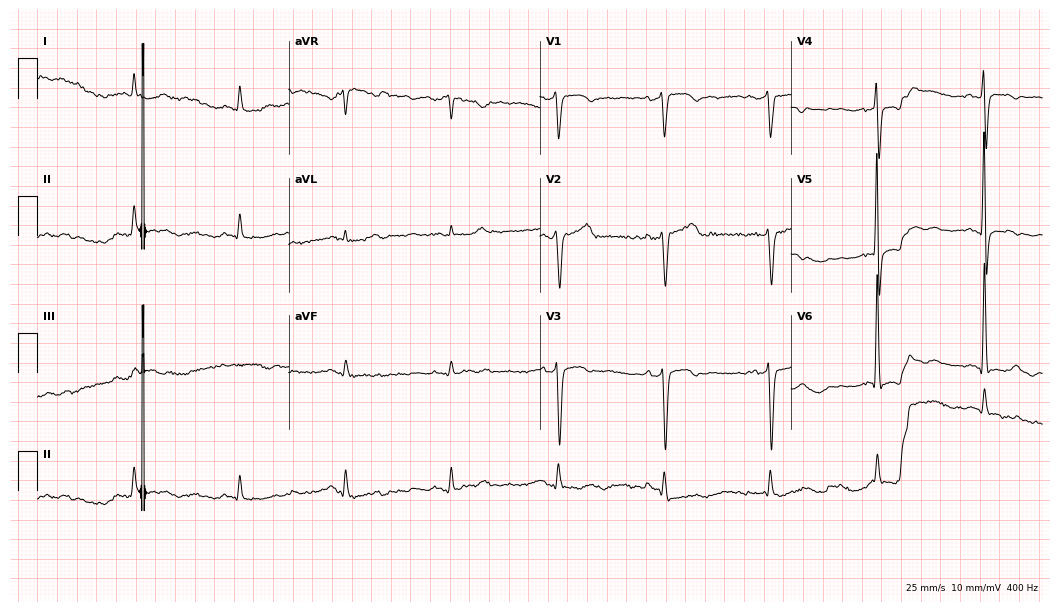
Resting 12-lead electrocardiogram. Patient: a 75-year-old man. None of these six findings is recorded: first-degree AV block, right bundle branch block, left bundle branch block, sinus bradycardia, atrial fibrillation, sinus tachycardia. Other findings, if any, are not listed.